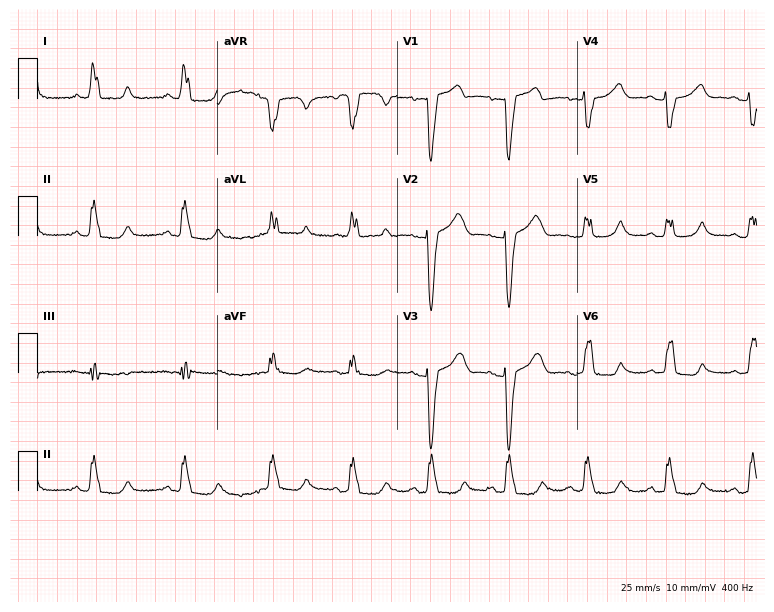
12-lead ECG (7.3-second recording at 400 Hz) from a female patient, 72 years old. Findings include left bundle branch block (LBBB).